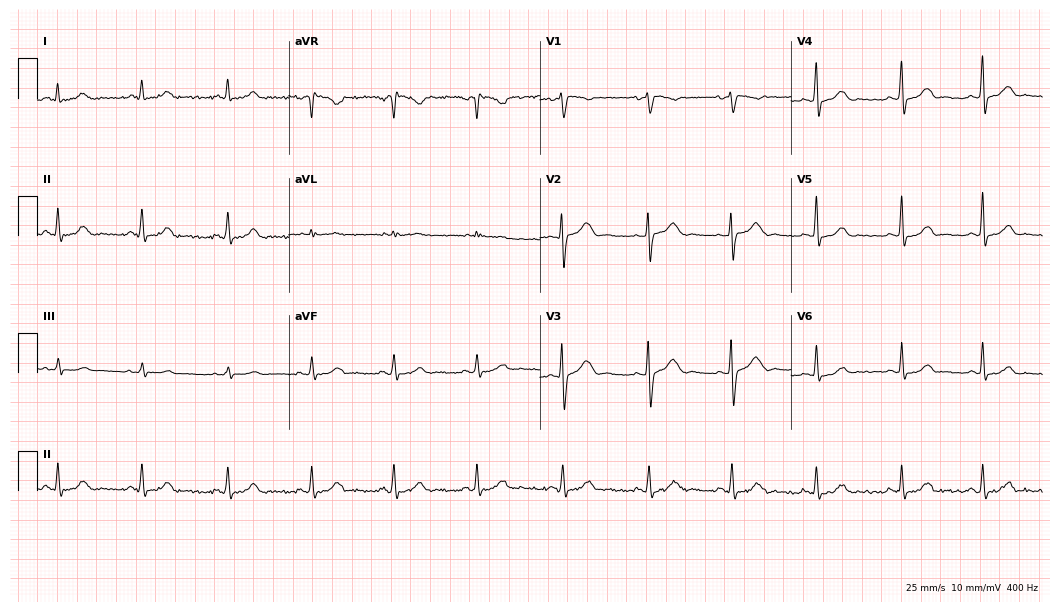
12-lead ECG from a 33-year-old female (10.2-second recording at 400 Hz). Recorded interpretation: within normal limits.